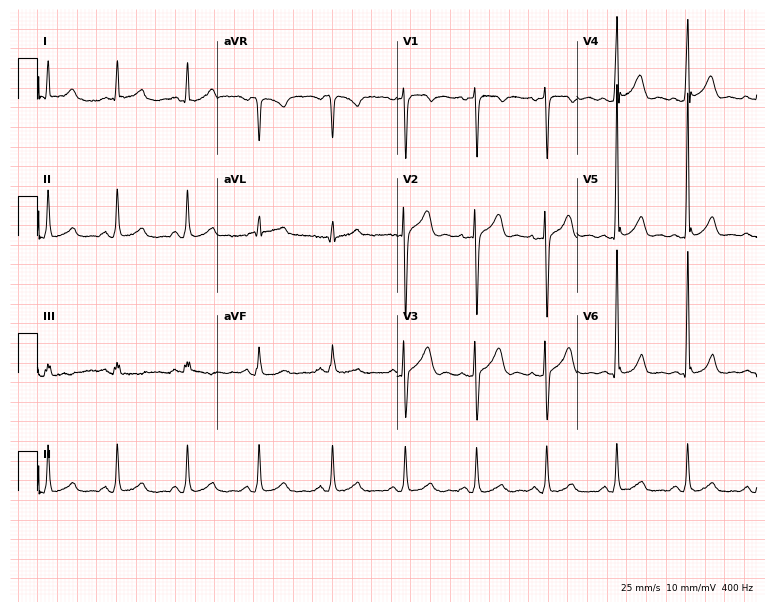
Electrocardiogram, a man, 42 years old. Of the six screened findings (first-degree AV block, right bundle branch block, left bundle branch block, sinus bradycardia, atrial fibrillation, sinus tachycardia), none is recorded. Findings outside these six are not listed.